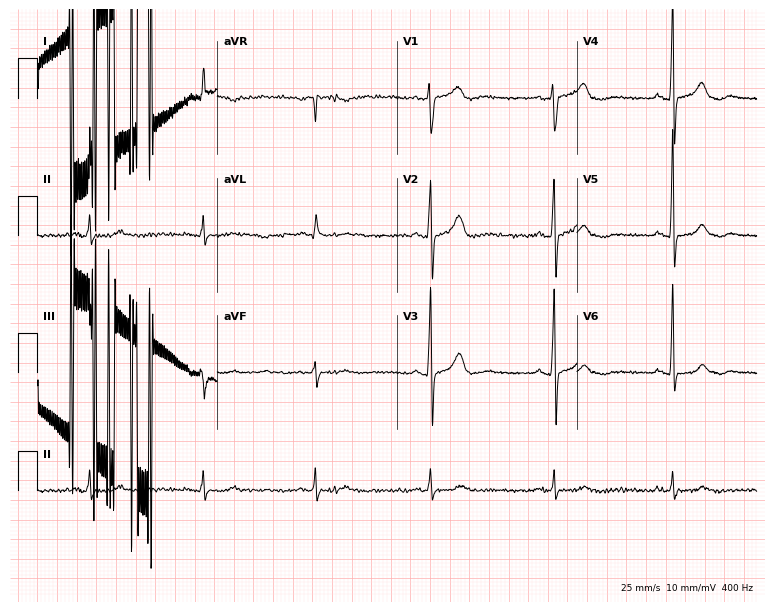
Standard 12-lead ECG recorded from a 72-year-old male patient. None of these six findings is recorded: first-degree AV block, right bundle branch block (RBBB), left bundle branch block (LBBB), sinus bradycardia, atrial fibrillation (AF), sinus tachycardia.